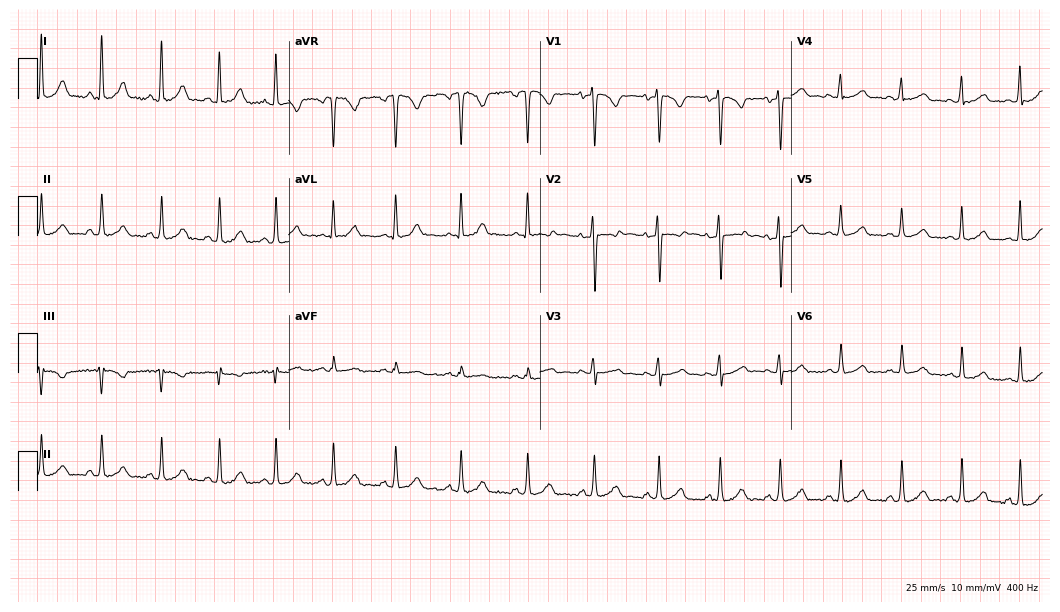
12-lead ECG from a 17-year-old female patient. Screened for six findings — first-degree AV block, right bundle branch block, left bundle branch block, sinus bradycardia, atrial fibrillation, sinus tachycardia — none is recorded.